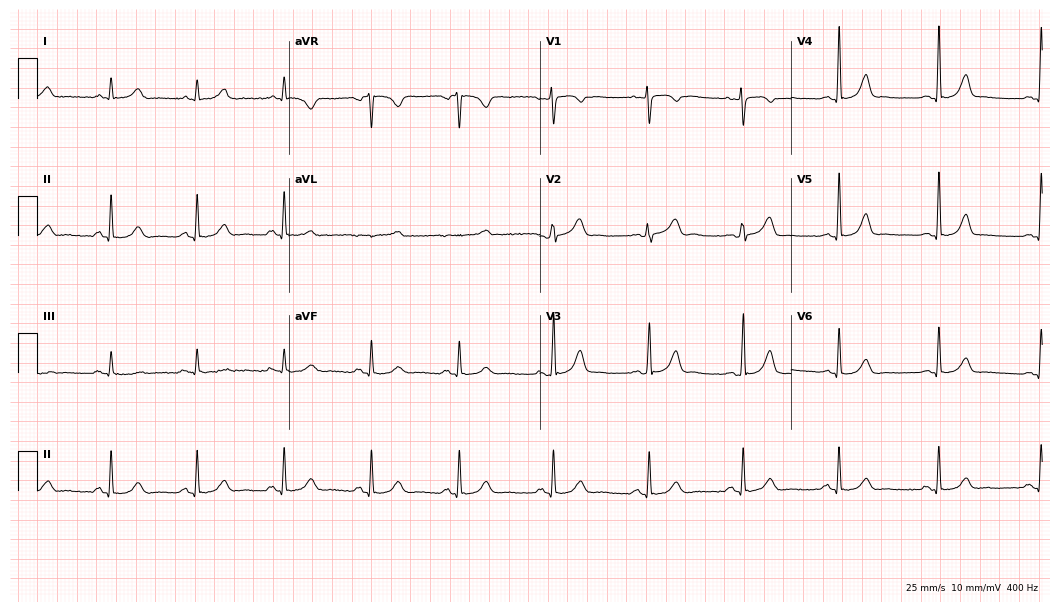
ECG — a 47-year-old female patient. Labelled as a normal ECG.